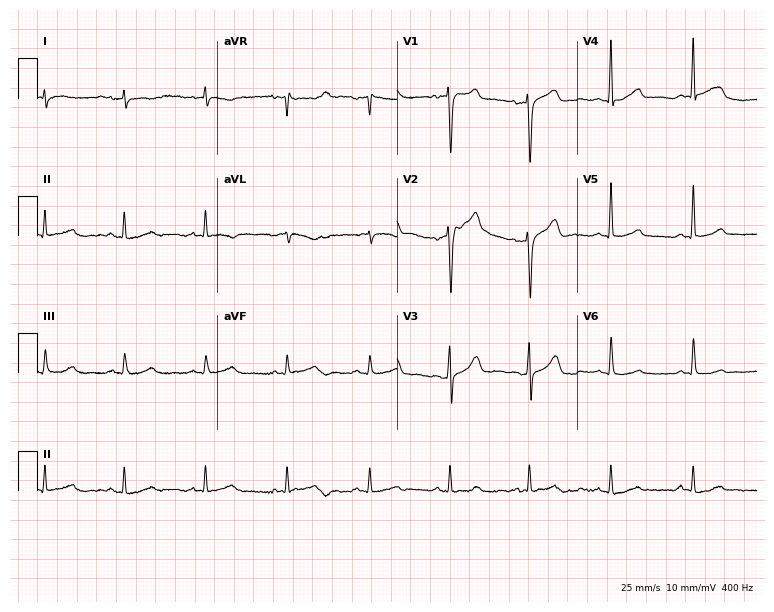
Resting 12-lead electrocardiogram (7.3-second recording at 400 Hz). Patient: a woman, 60 years old. None of these six findings is recorded: first-degree AV block, right bundle branch block, left bundle branch block, sinus bradycardia, atrial fibrillation, sinus tachycardia. Other findings, if any, are not listed.